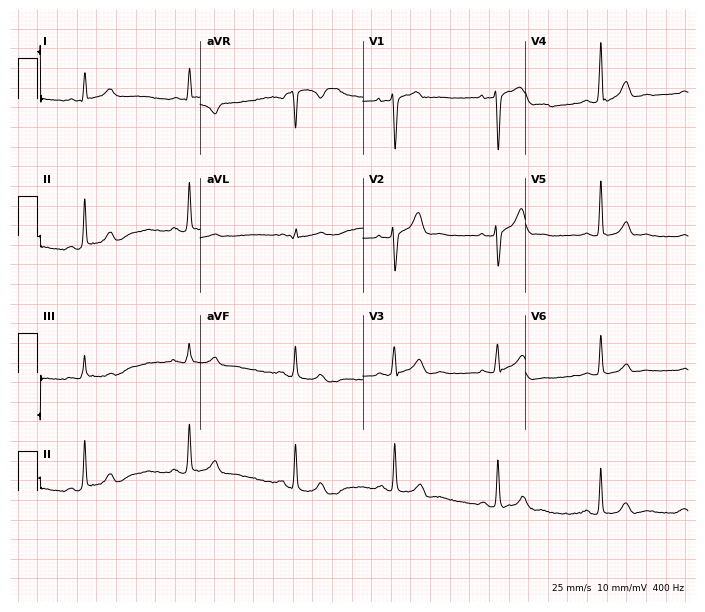
Resting 12-lead electrocardiogram. Patient: a man, 33 years old. Read as a normal ECG.